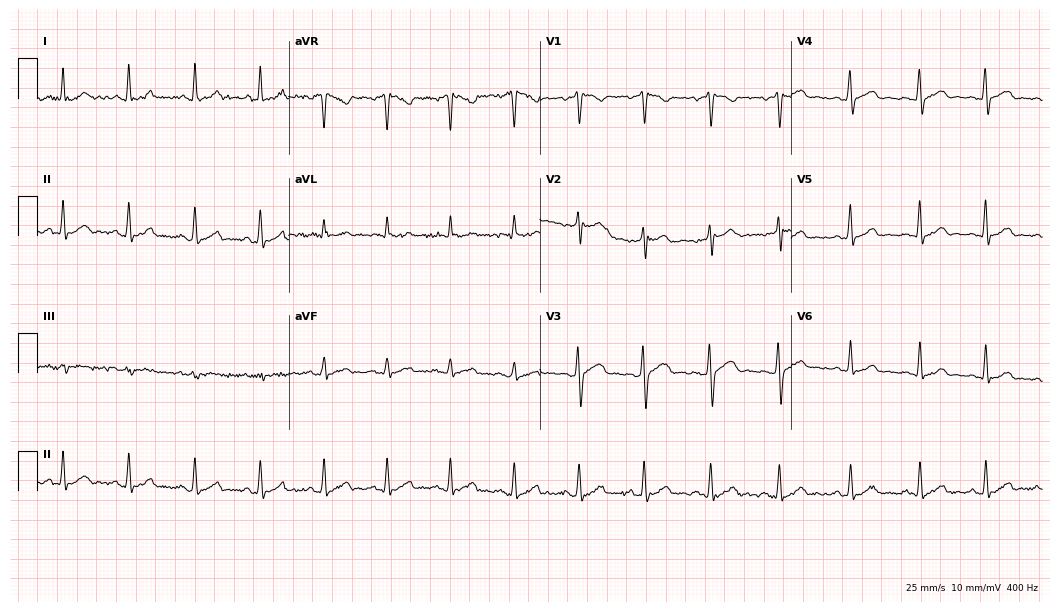
Electrocardiogram, a 34-year-old male. Overall reading on record: normal ECG.